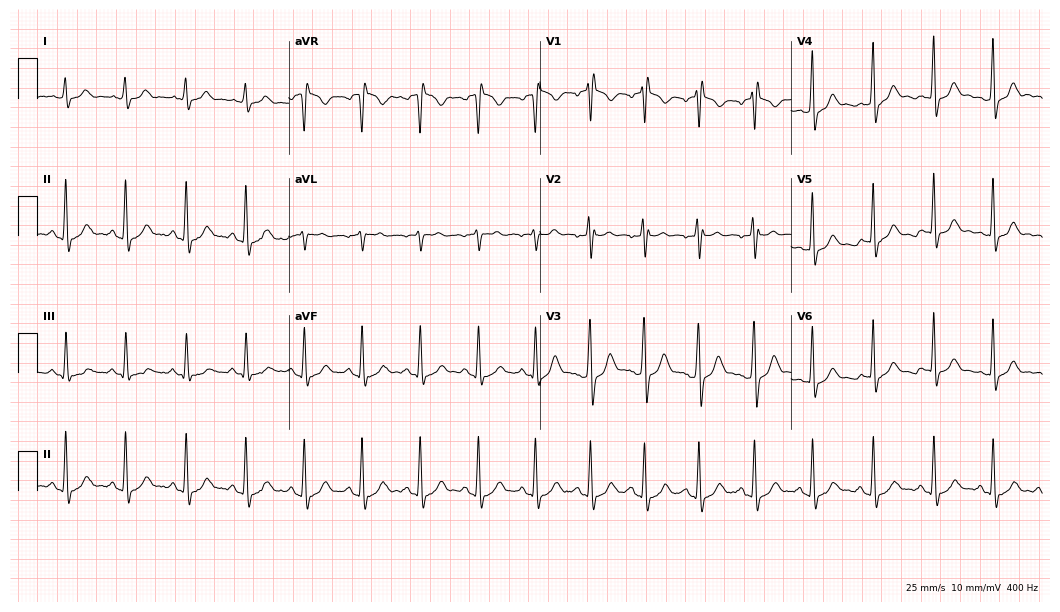
12-lead ECG from a male patient, 26 years old (10.2-second recording at 400 Hz). No first-degree AV block, right bundle branch block (RBBB), left bundle branch block (LBBB), sinus bradycardia, atrial fibrillation (AF) or sinus tachycardia recorded for this tracing.